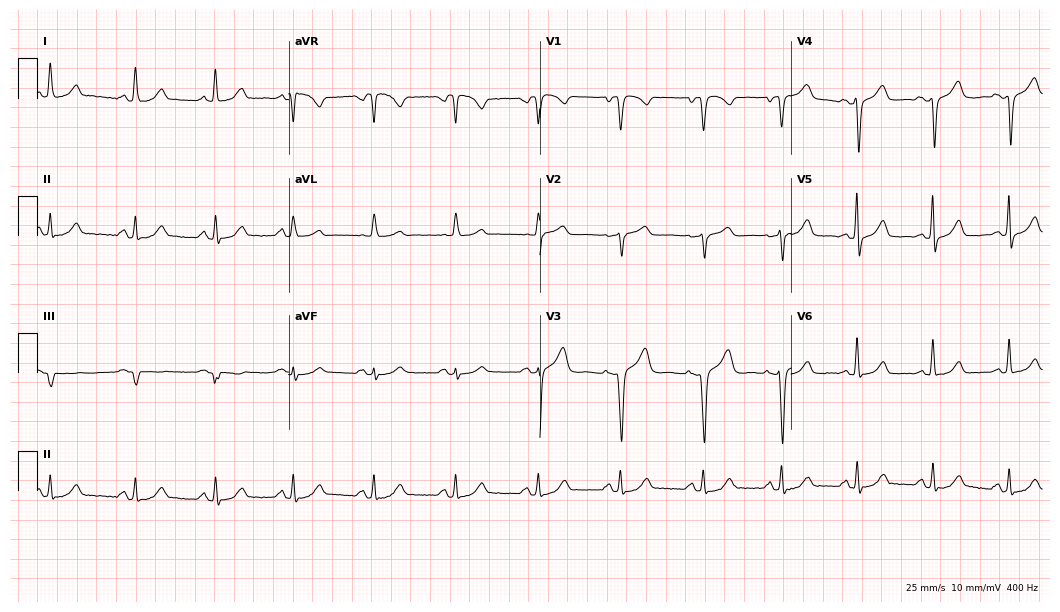
ECG — a female, 49 years old. Labelled as a normal ECG.